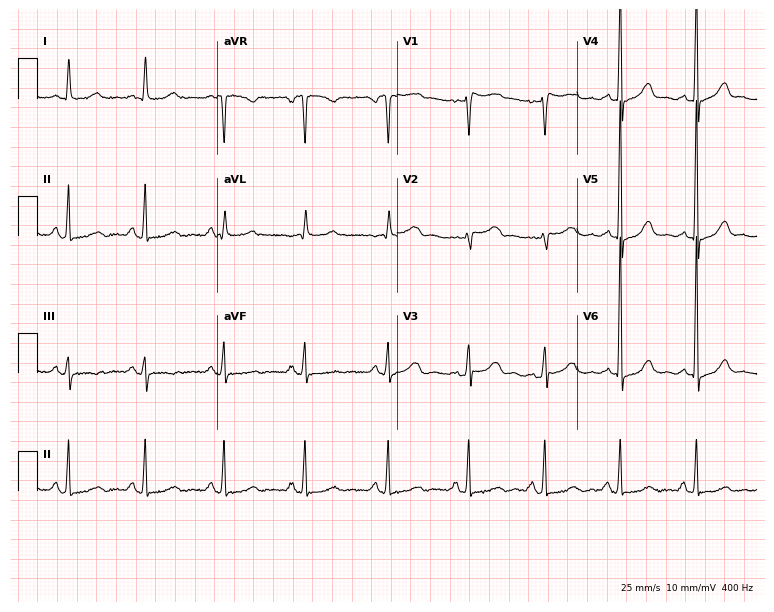
Electrocardiogram (7.3-second recording at 400 Hz), a female patient, 56 years old. Of the six screened findings (first-degree AV block, right bundle branch block (RBBB), left bundle branch block (LBBB), sinus bradycardia, atrial fibrillation (AF), sinus tachycardia), none is recorded.